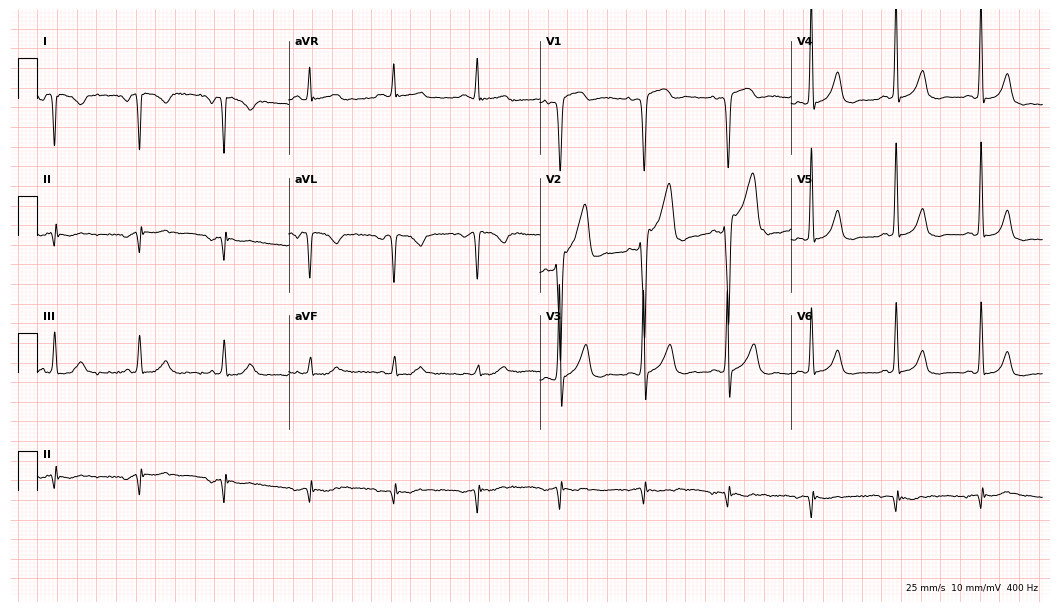
12-lead ECG from a male patient, 46 years old. Labelled as a normal ECG.